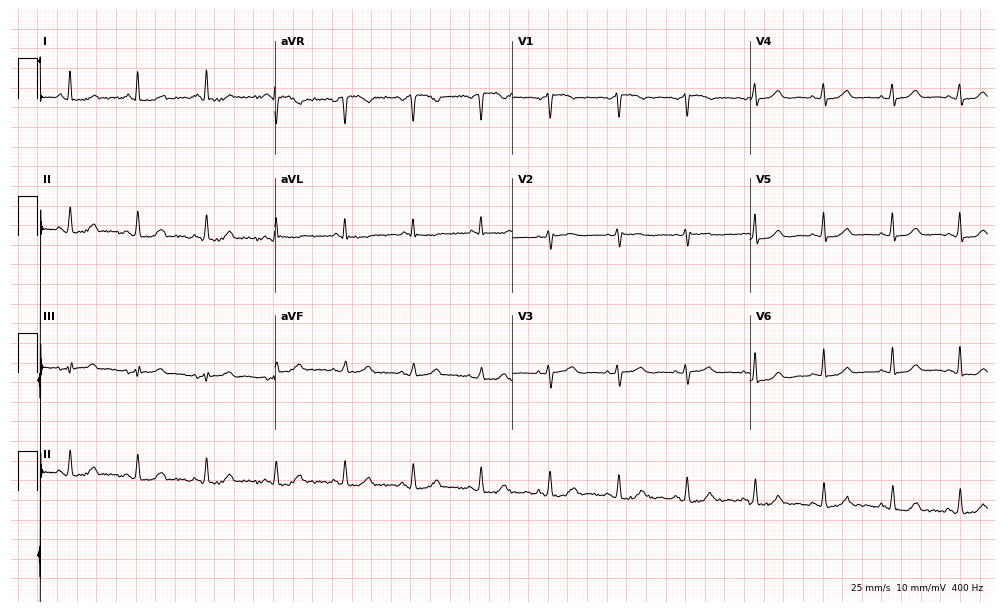
Resting 12-lead electrocardiogram (9.7-second recording at 400 Hz). Patient: a female, 75 years old. None of these six findings is recorded: first-degree AV block, right bundle branch block, left bundle branch block, sinus bradycardia, atrial fibrillation, sinus tachycardia. Other findings, if any, are not listed.